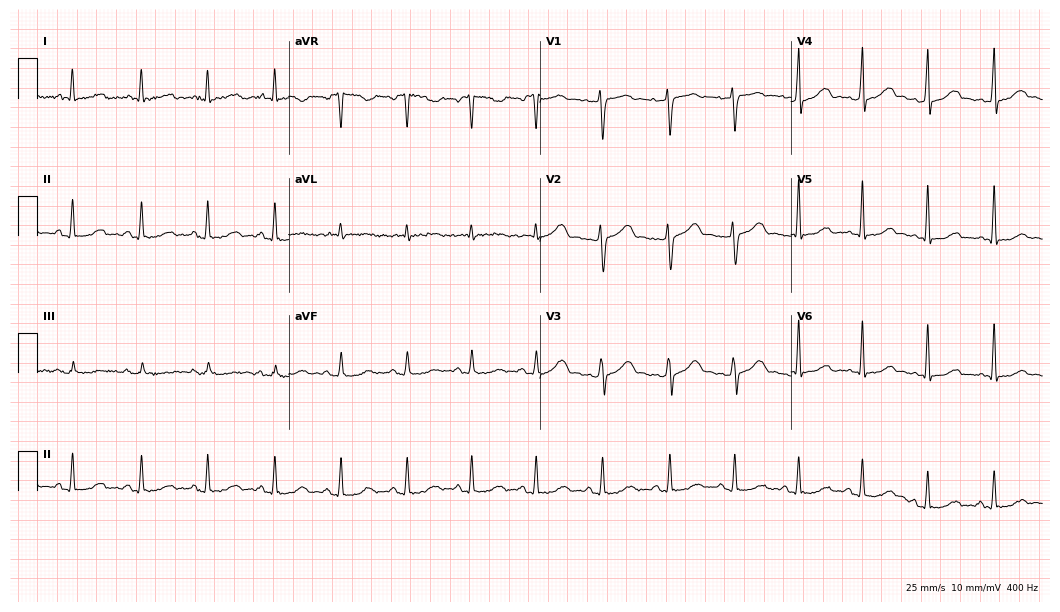
Standard 12-lead ECG recorded from a female, 40 years old. None of these six findings is recorded: first-degree AV block, right bundle branch block, left bundle branch block, sinus bradycardia, atrial fibrillation, sinus tachycardia. Only these six findings were labelled.